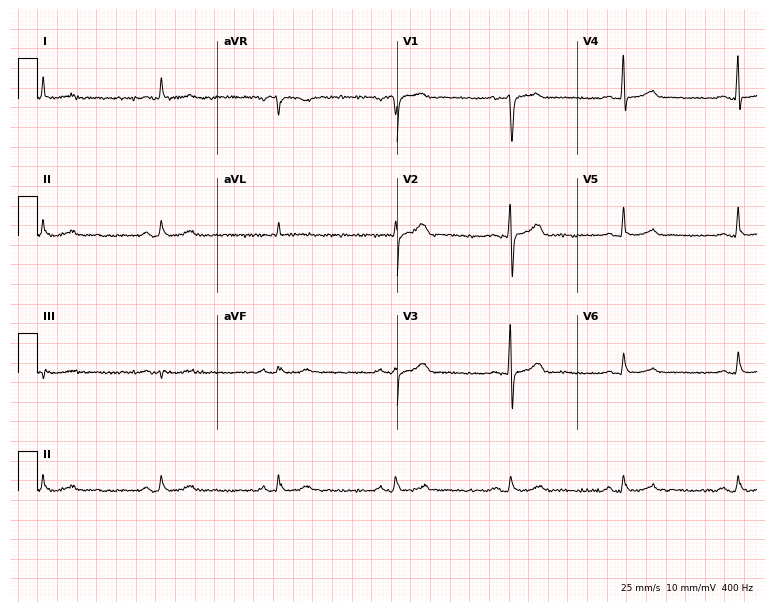
Electrocardiogram, a 57-year-old male. Overall reading on record: normal ECG.